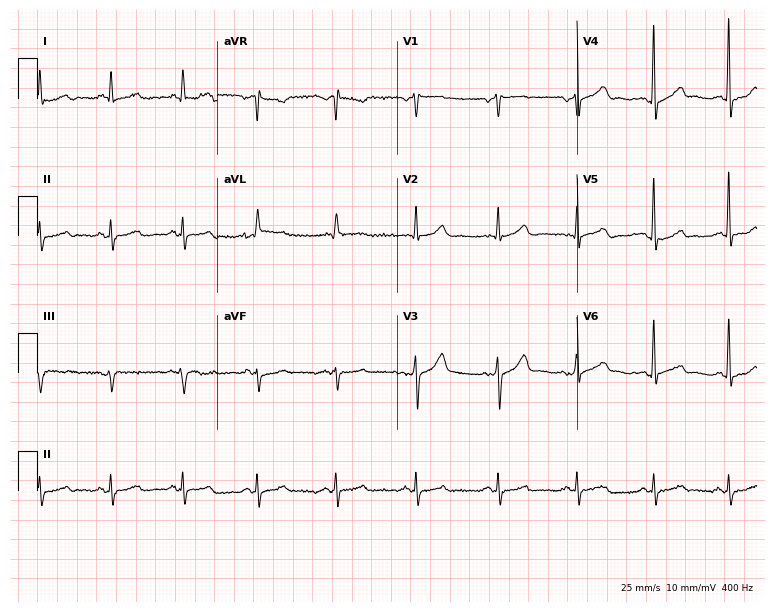
ECG (7.3-second recording at 400 Hz) — a 62-year-old male patient. Screened for six findings — first-degree AV block, right bundle branch block, left bundle branch block, sinus bradycardia, atrial fibrillation, sinus tachycardia — none is recorded. Other findings, if any, are not listed.